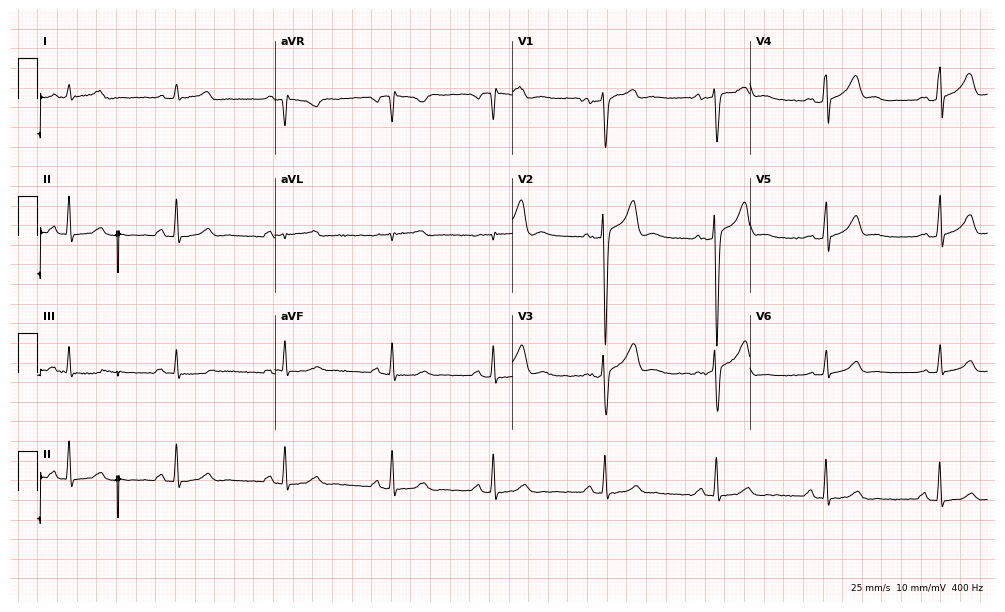
12-lead ECG from a man, 50 years old (9.7-second recording at 400 Hz). Recorded interpretation: within normal limits.